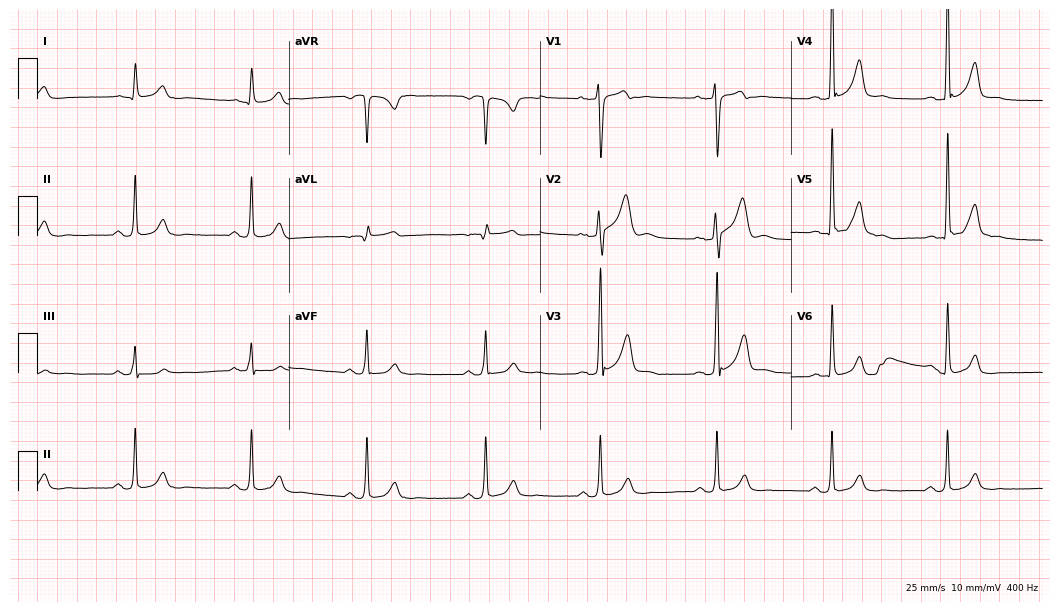
Resting 12-lead electrocardiogram (10.2-second recording at 400 Hz). Patient: a 43-year-old man. None of these six findings is recorded: first-degree AV block, right bundle branch block, left bundle branch block, sinus bradycardia, atrial fibrillation, sinus tachycardia. Findings outside these six are not listed.